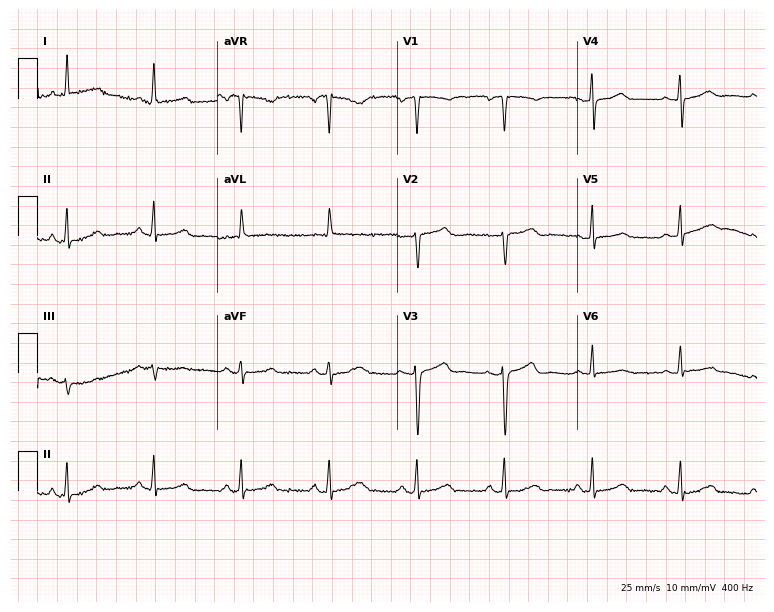
12-lead ECG from a 53-year-old woman. Screened for six findings — first-degree AV block, right bundle branch block, left bundle branch block, sinus bradycardia, atrial fibrillation, sinus tachycardia — none is recorded.